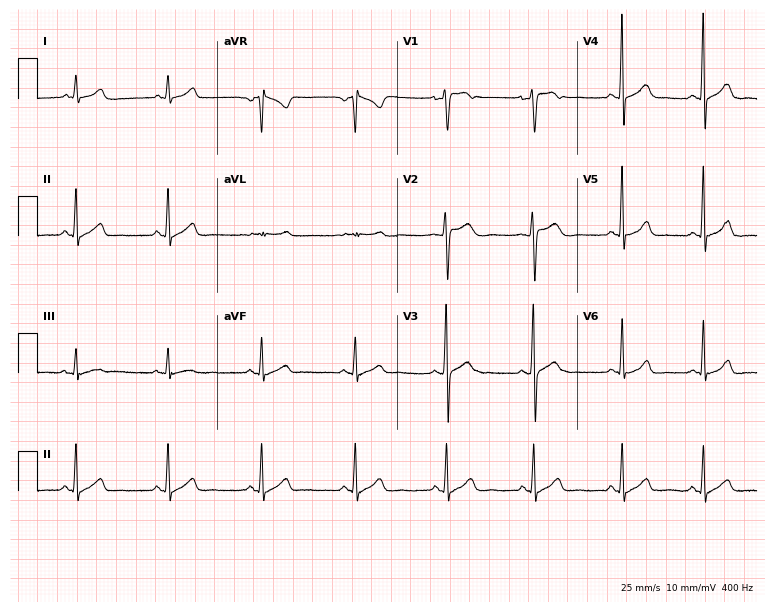
12-lead ECG from a female patient, 27 years old. Screened for six findings — first-degree AV block, right bundle branch block, left bundle branch block, sinus bradycardia, atrial fibrillation, sinus tachycardia — none is recorded. Findings outside these six are not listed.